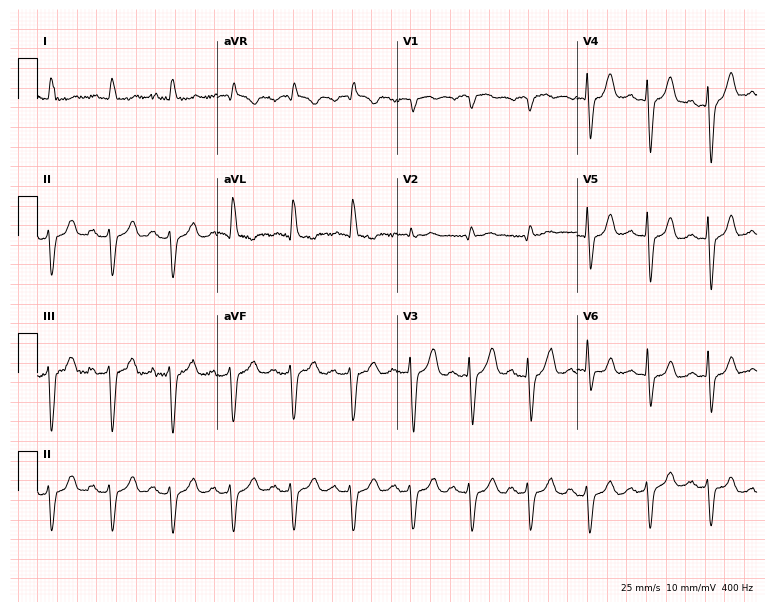
12-lead ECG from a man, 80 years old (7.3-second recording at 400 Hz). No first-degree AV block, right bundle branch block (RBBB), left bundle branch block (LBBB), sinus bradycardia, atrial fibrillation (AF) or sinus tachycardia recorded for this tracing. Other findings, if any, are not listed.